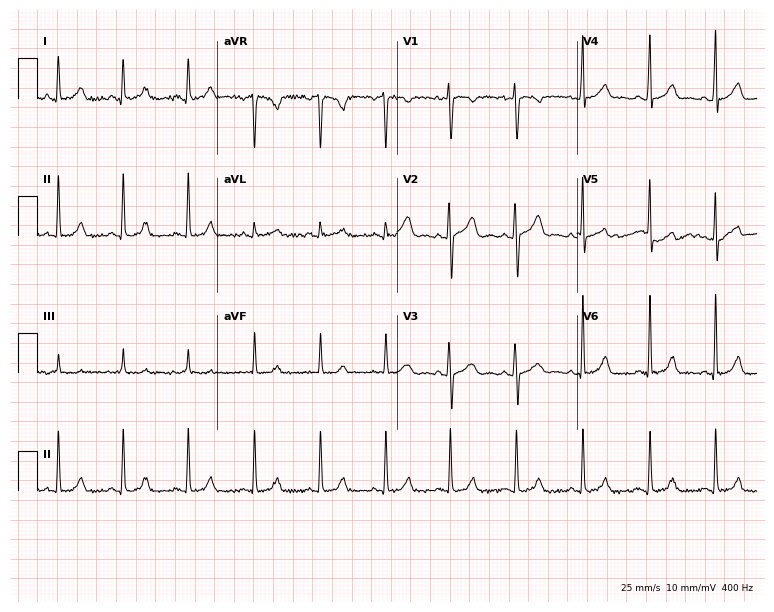
Electrocardiogram, a 22-year-old woman. Overall reading on record: normal ECG.